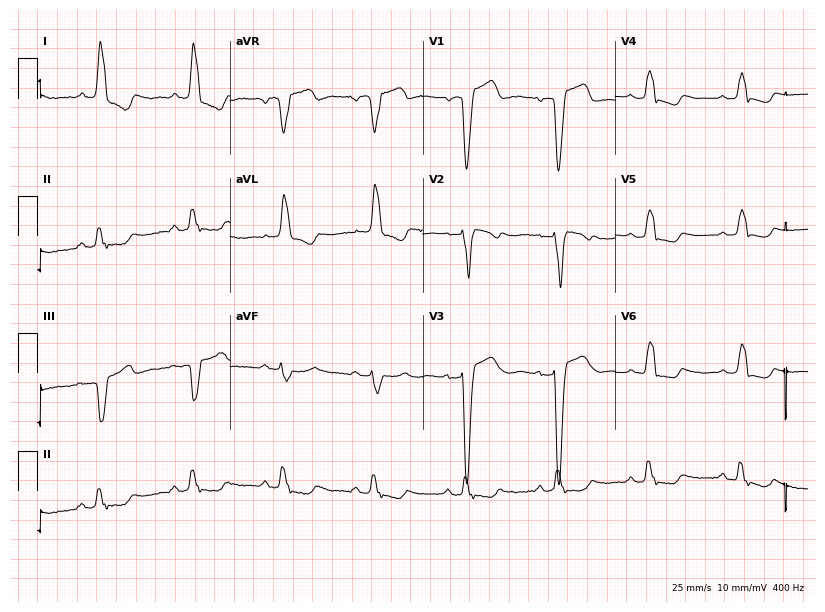
Standard 12-lead ECG recorded from a 74-year-old female. The tracing shows left bundle branch block.